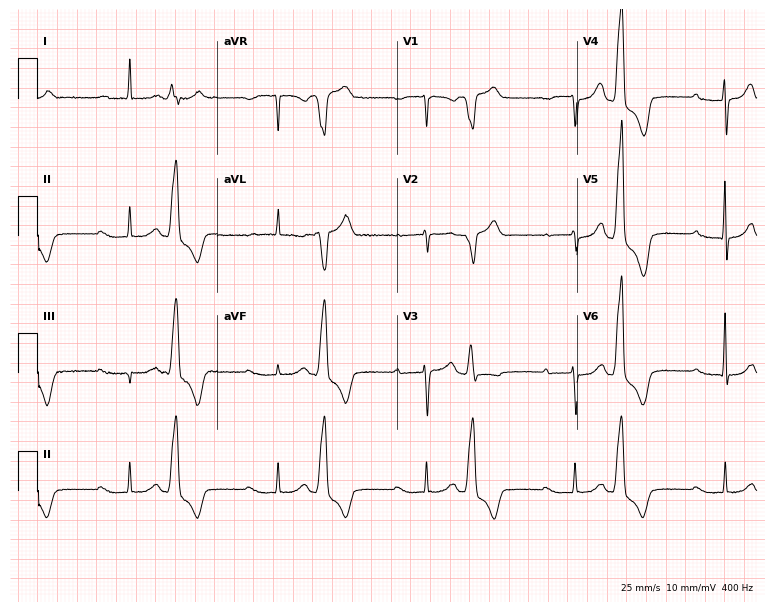
Standard 12-lead ECG recorded from a female patient, 71 years old (7.3-second recording at 400 Hz). None of these six findings is recorded: first-degree AV block, right bundle branch block, left bundle branch block, sinus bradycardia, atrial fibrillation, sinus tachycardia.